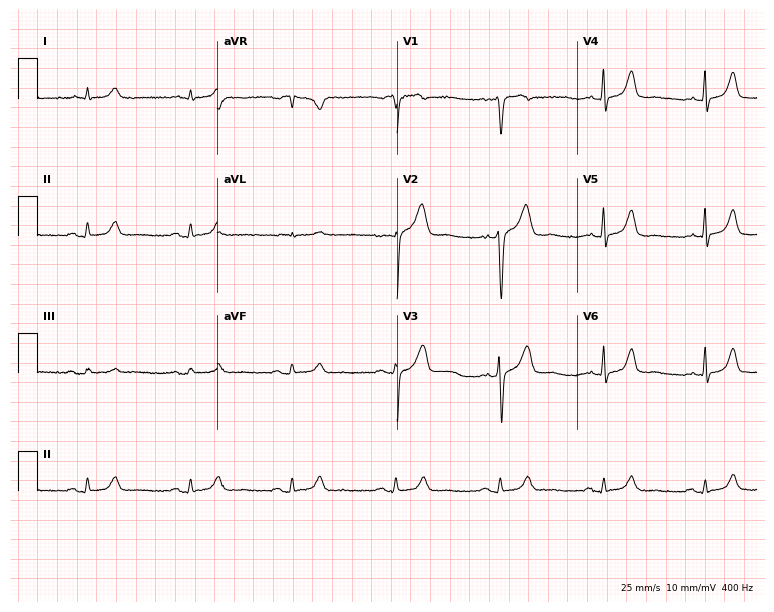
Electrocardiogram (7.3-second recording at 400 Hz), a 58-year-old man. Overall reading on record: normal ECG.